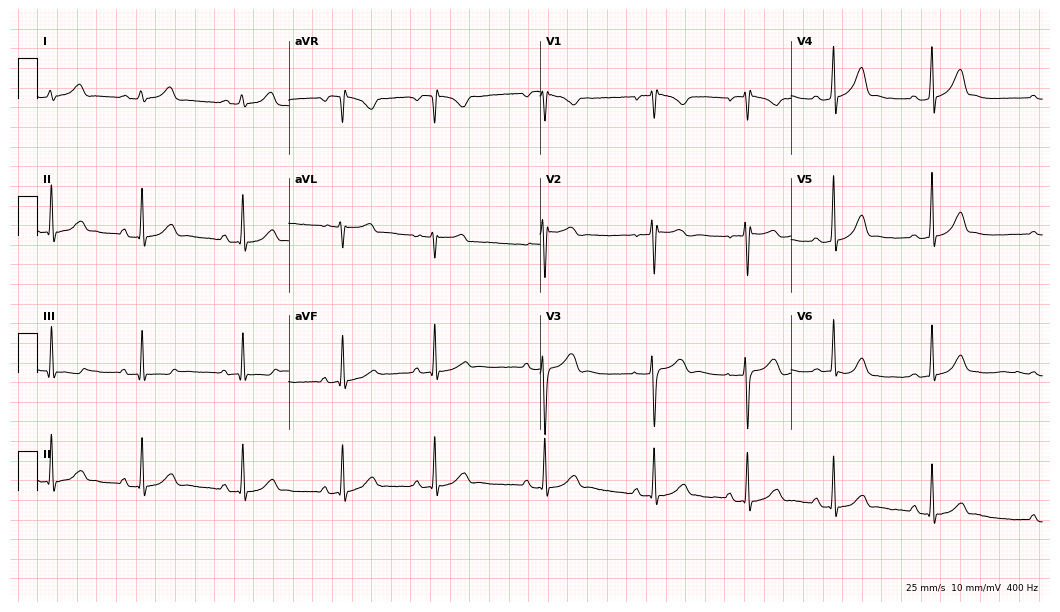
Resting 12-lead electrocardiogram (10.2-second recording at 400 Hz). Patient: a woman, 21 years old. None of these six findings is recorded: first-degree AV block, right bundle branch block, left bundle branch block, sinus bradycardia, atrial fibrillation, sinus tachycardia. Findings outside these six are not listed.